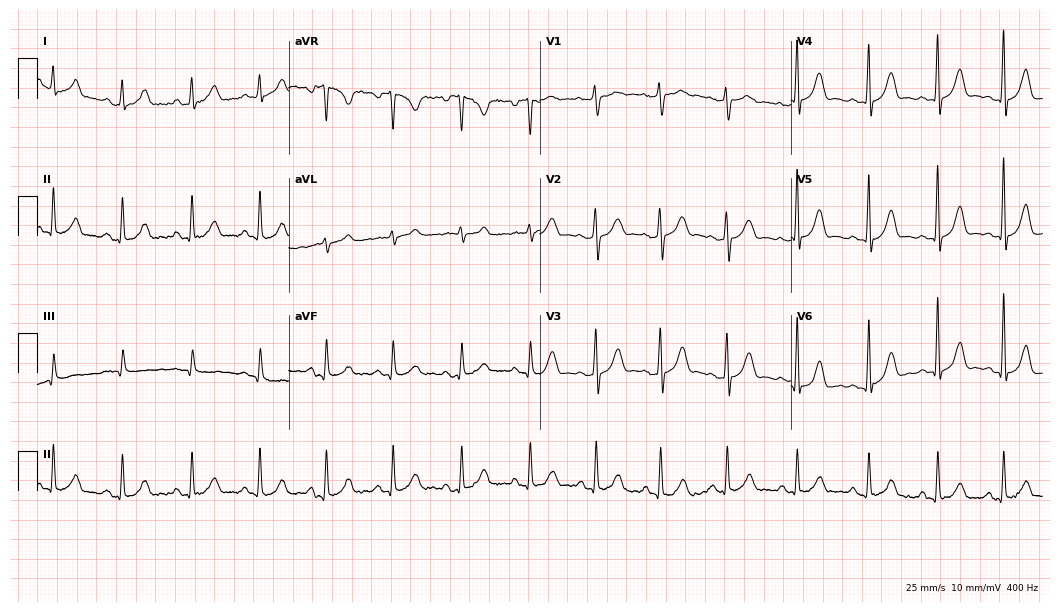
Resting 12-lead electrocardiogram. Patient: a female, 46 years old. None of these six findings is recorded: first-degree AV block, right bundle branch block, left bundle branch block, sinus bradycardia, atrial fibrillation, sinus tachycardia. Findings outside these six are not listed.